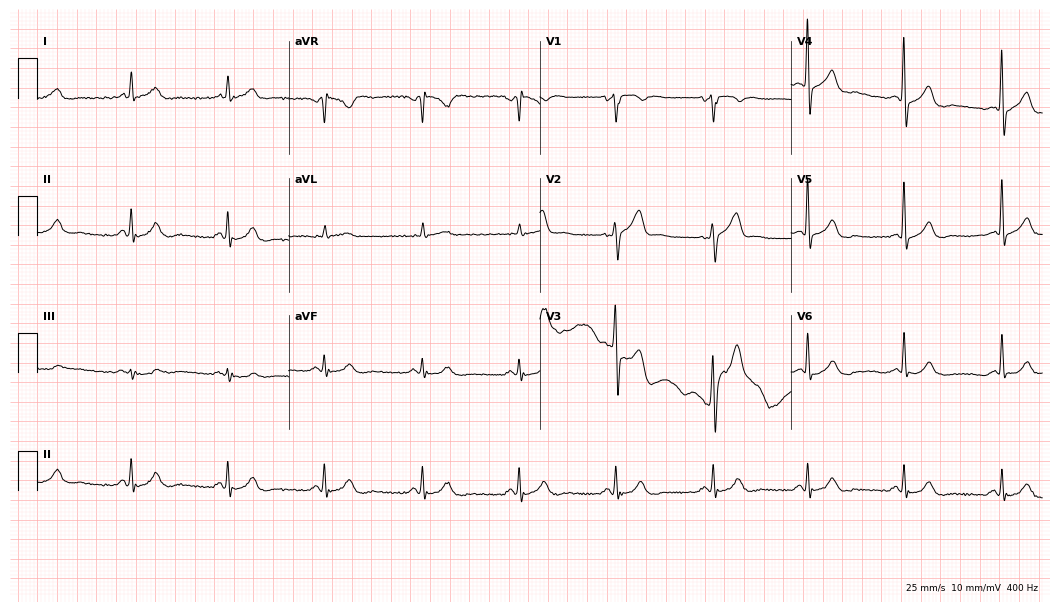
Standard 12-lead ECG recorded from a 49-year-old man. Read as a normal ECG.